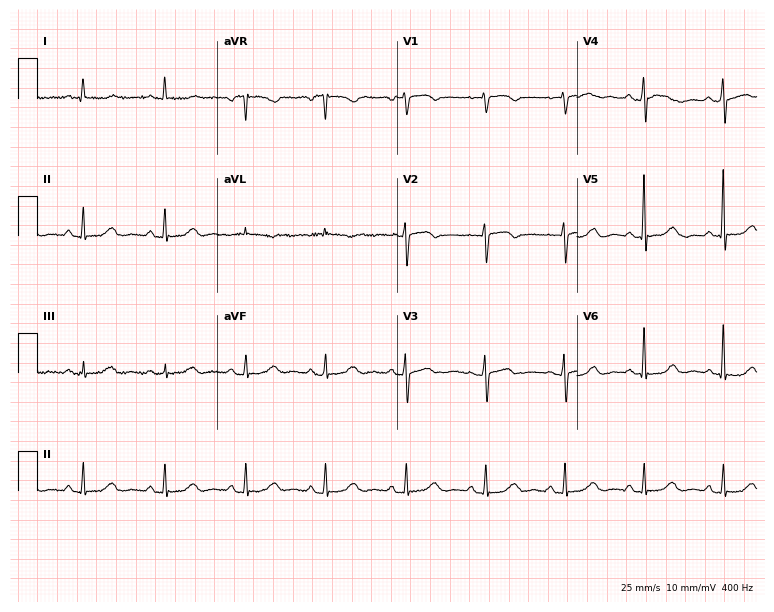
Resting 12-lead electrocardiogram (7.3-second recording at 400 Hz). Patient: a 79-year-old female. Read as a normal ECG.